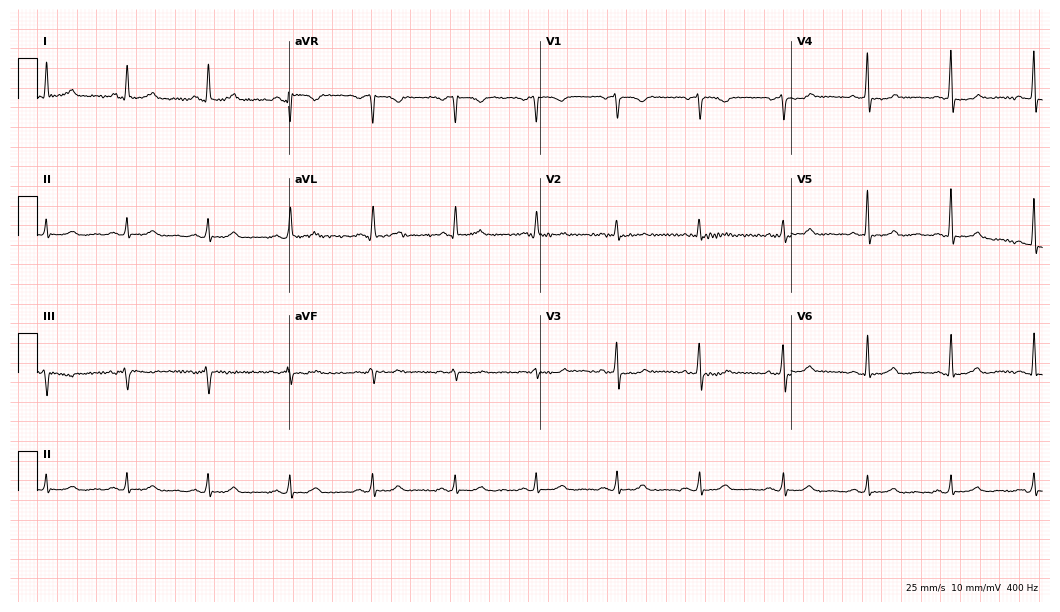
Standard 12-lead ECG recorded from a 49-year-old female patient. Read as a normal ECG.